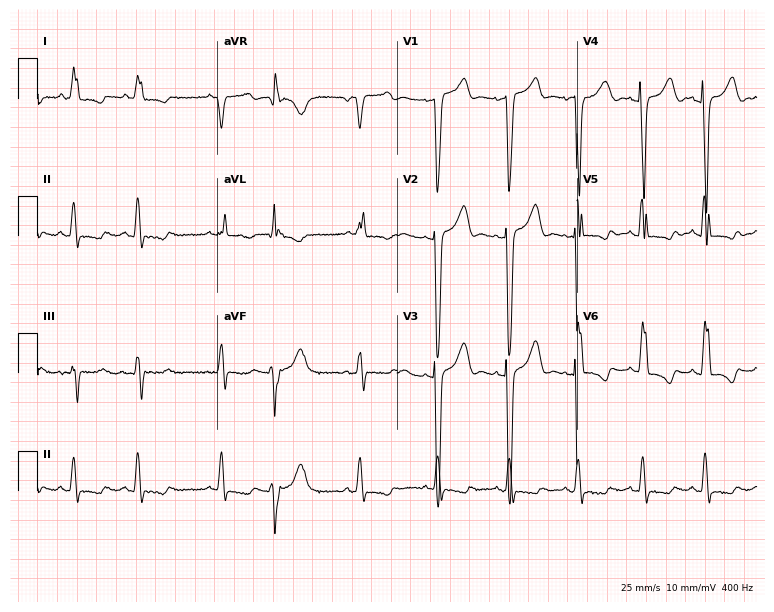
Resting 12-lead electrocardiogram (7.3-second recording at 400 Hz). Patient: an 81-year-old female. None of these six findings is recorded: first-degree AV block, right bundle branch block (RBBB), left bundle branch block (LBBB), sinus bradycardia, atrial fibrillation (AF), sinus tachycardia.